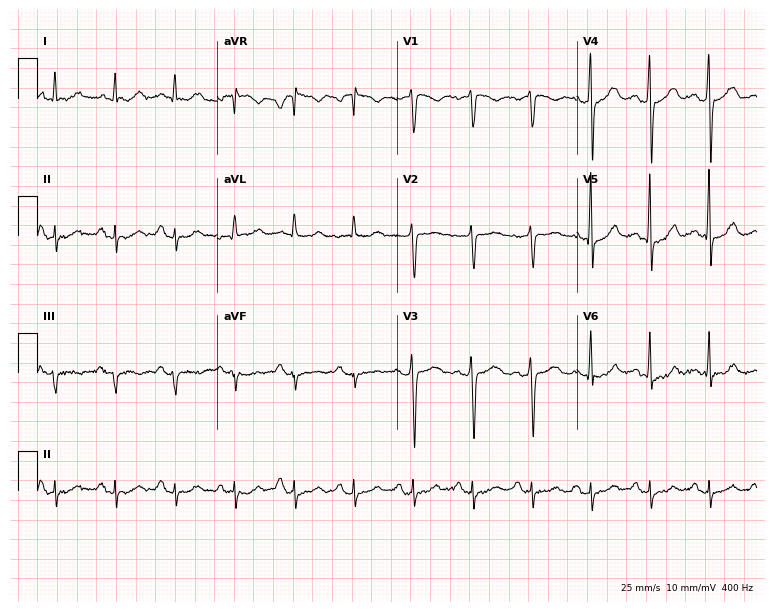
12-lead ECG from a 58-year-old man. No first-degree AV block, right bundle branch block, left bundle branch block, sinus bradycardia, atrial fibrillation or sinus tachycardia recorded for this tracing. Other findings, if any, are not listed.